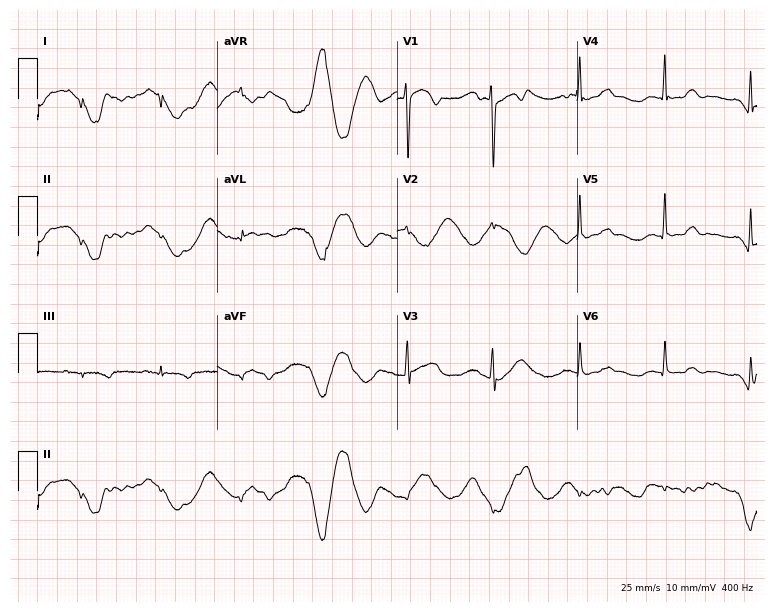
12-lead ECG (7.3-second recording at 400 Hz) from a female patient, 51 years old. Screened for six findings — first-degree AV block, right bundle branch block, left bundle branch block, sinus bradycardia, atrial fibrillation, sinus tachycardia — none is recorded. Findings outside these six are not listed.